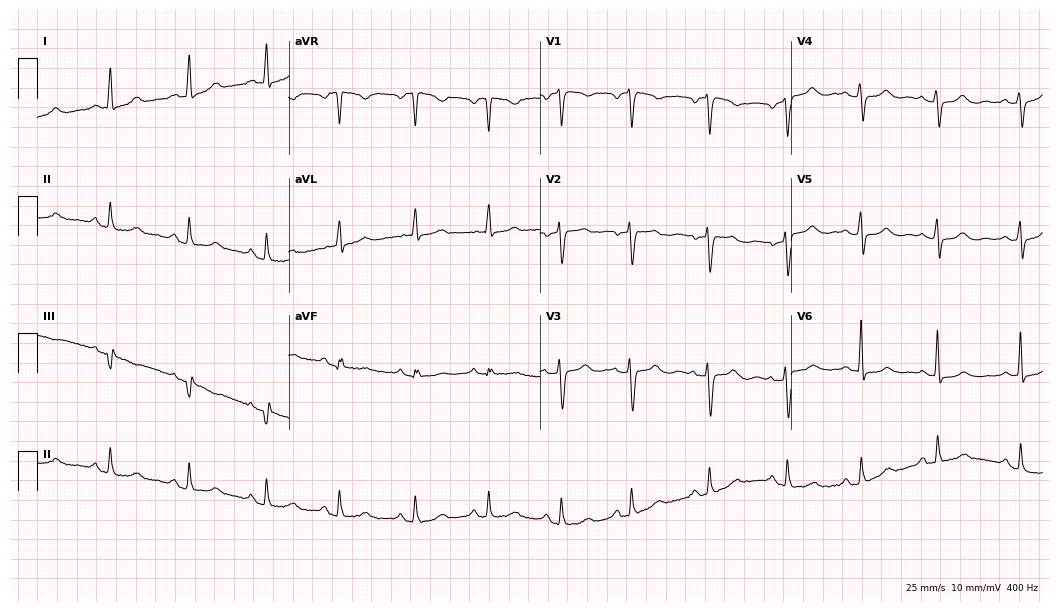
12-lead ECG from a 33-year-old female patient. Recorded interpretation: within normal limits.